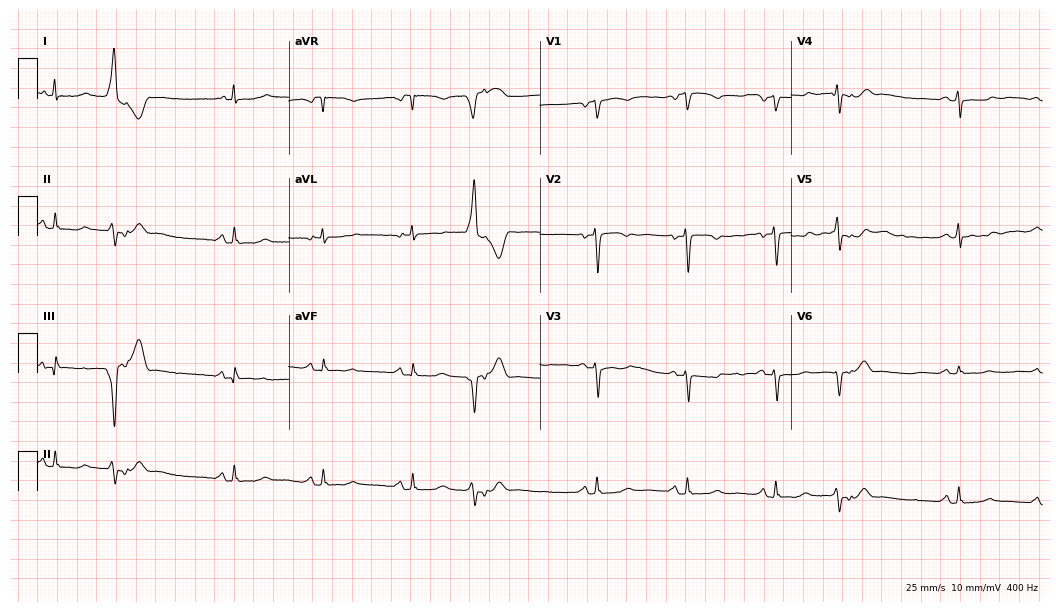
12-lead ECG from a 65-year-old female patient. No first-degree AV block, right bundle branch block, left bundle branch block, sinus bradycardia, atrial fibrillation or sinus tachycardia recorded for this tracing.